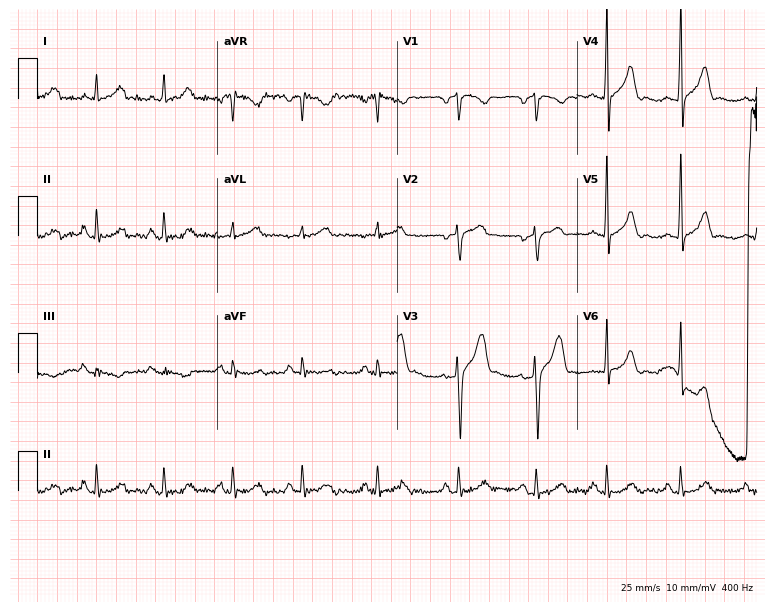
Resting 12-lead electrocardiogram (7.3-second recording at 400 Hz). Patient: a male, 33 years old. None of these six findings is recorded: first-degree AV block, right bundle branch block (RBBB), left bundle branch block (LBBB), sinus bradycardia, atrial fibrillation (AF), sinus tachycardia. Other findings, if any, are not listed.